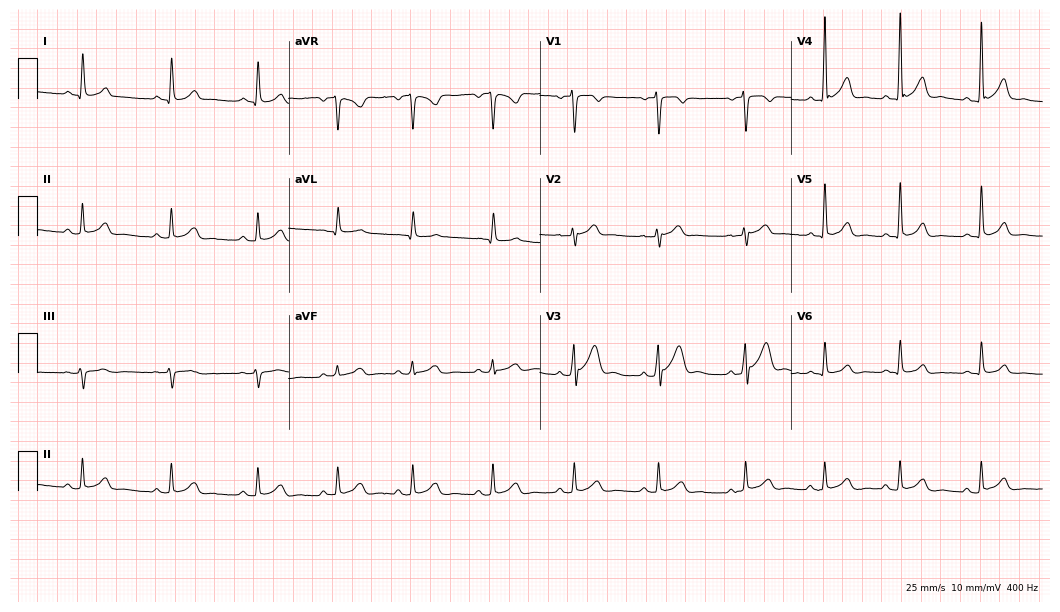
ECG — a 42-year-old male. Screened for six findings — first-degree AV block, right bundle branch block, left bundle branch block, sinus bradycardia, atrial fibrillation, sinus tachycardia — none is recorded.